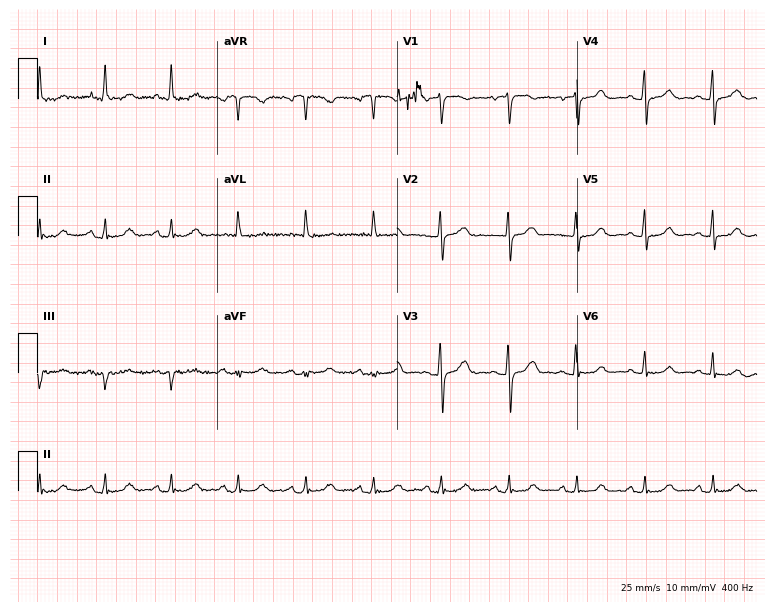
Resting 12-lead electrocardiogram. Patient: a 64-year-old female. Read as a normal ECG.